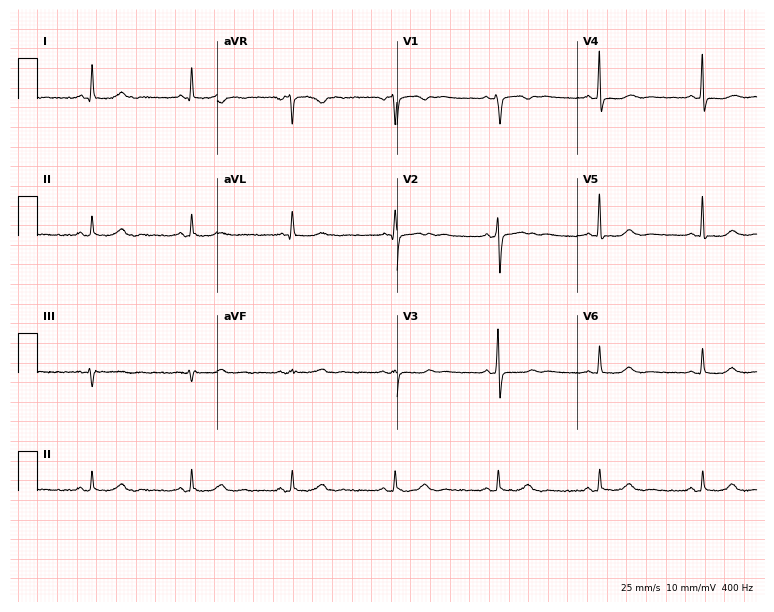
12-lead ECG (7.3-second recording at 400 Hz) from a 55-year-old female patient. Labelled as a normal ECG.